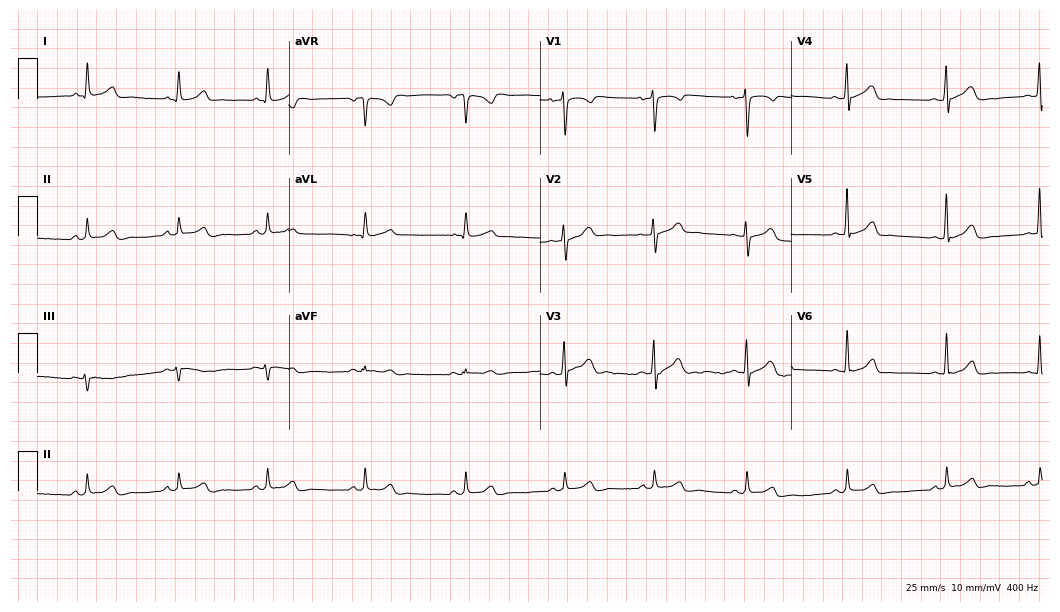
12-lead ECG from an 18-year-old female patient. No first-degree AV block, right bundle branch block (RBBB), left bundle branch block (LBBB), sinus bradycardia, atrial fibrillation (AF) or sinus tachycardia recorded for this tracing. Other findings, if any, are not listed.